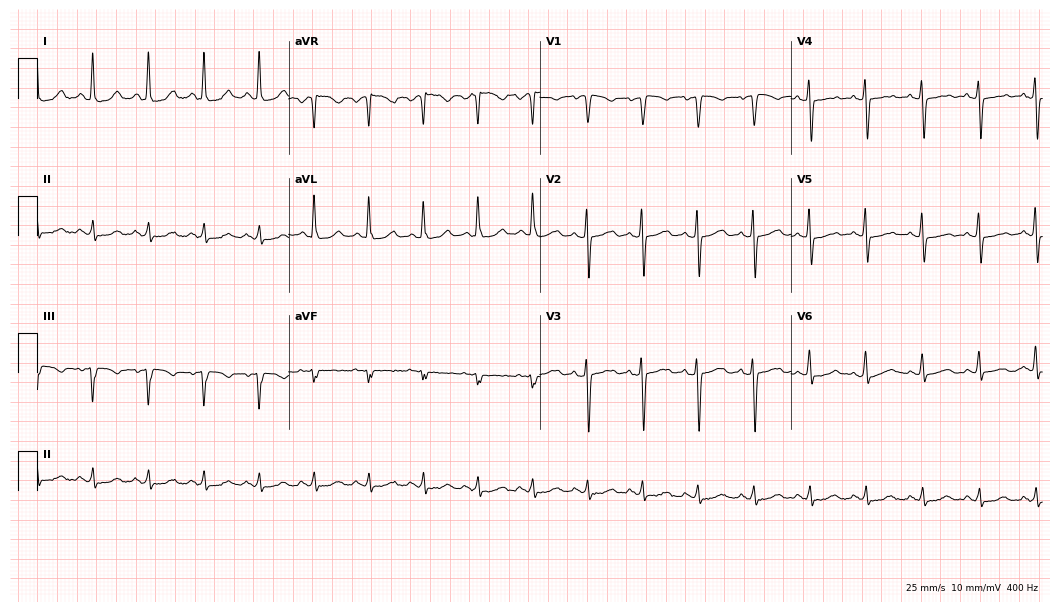
Standard 12-lead ECG recorded from a 51-year-old woman (10.2-second recording at 400 Hz). None of these six findings is recorded: first-degree AV block, right bundle branch block (RBBB), left bundle branch block (LBBB), sinus bradycardia, atrial fibrillation (AF), sinus tachycardia. Other findings, if any, are not listed.